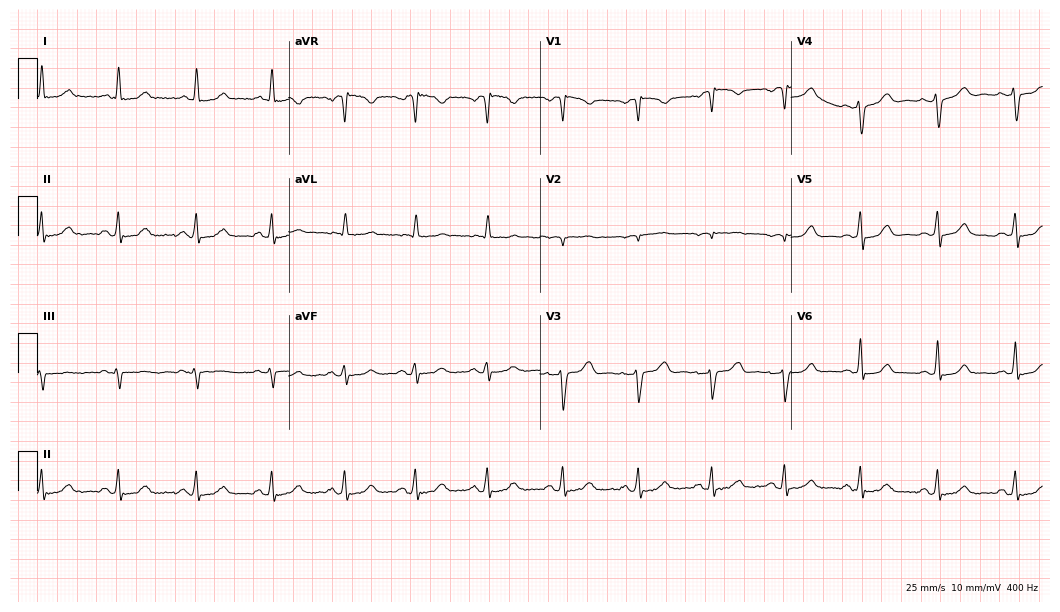
12-lead ECG (10.2-second recording at 400 Hz) from a female, 40 years old. Labelled as a normal ECG.